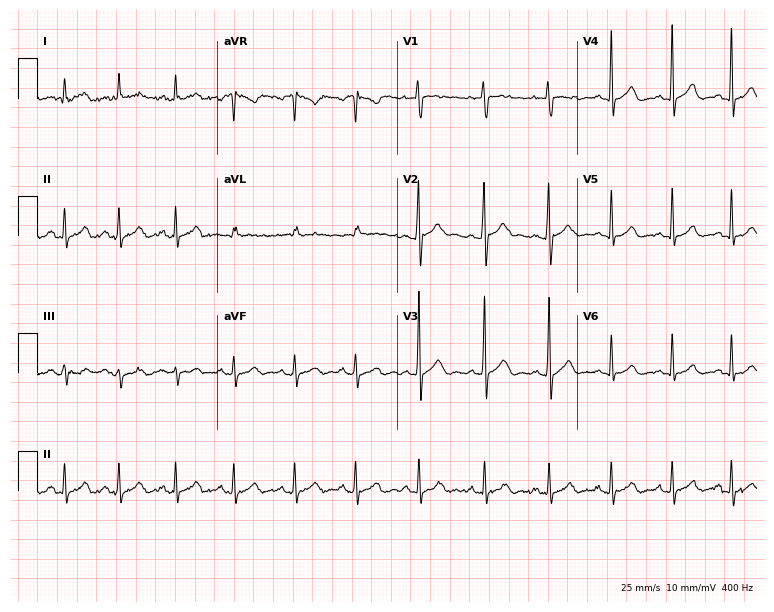
12-lead ECG from a male, 30 years old. Recorded interpretation: within normal limits.